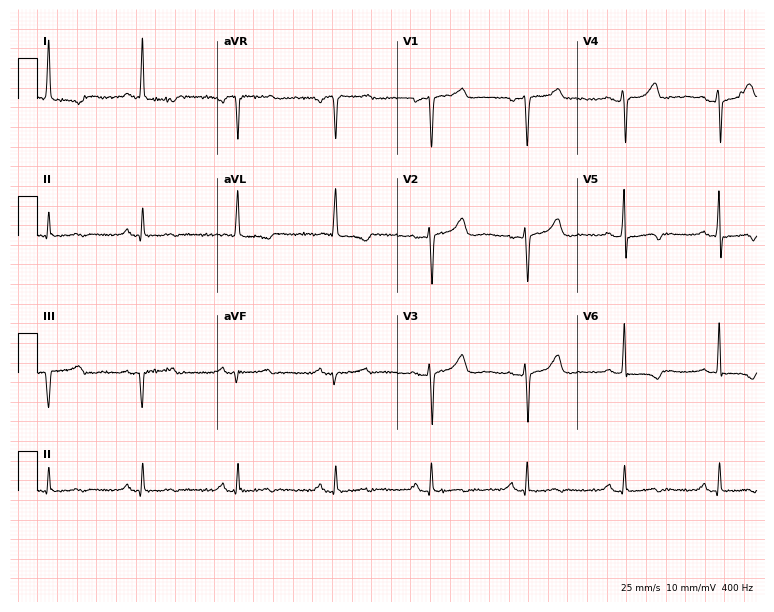
Standard 12-lead ECG recorded from a female, 57 years old (7.3-second recording at 400 Hz). None of these six findings is recorded: first-degree AV block, right bundle branch block (RBBB), left bundle branch block (LBBB), sinus bradycardia, atrial fibrillation (AF), sinus tachycardia. Findings outside these six are not listed.